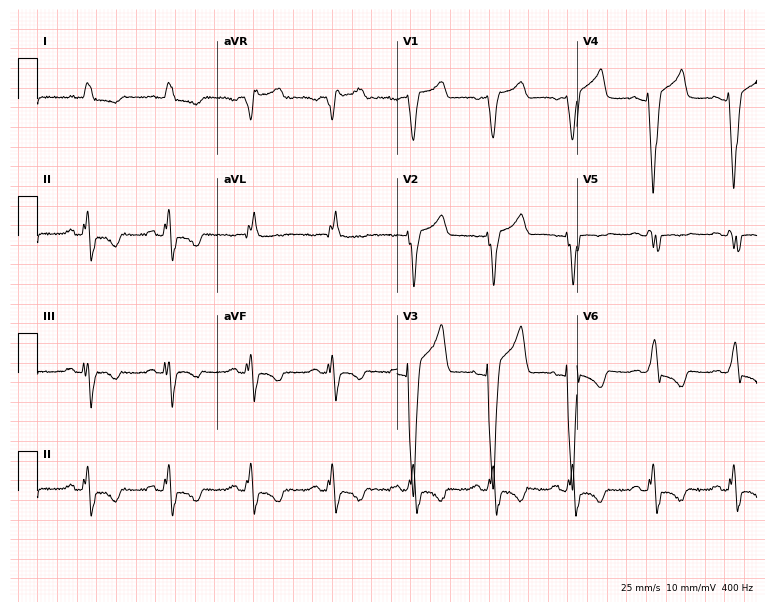
Standard 12-lead ECG recorded from a 75-year-old woman. The tracing shows left bundle branch block.